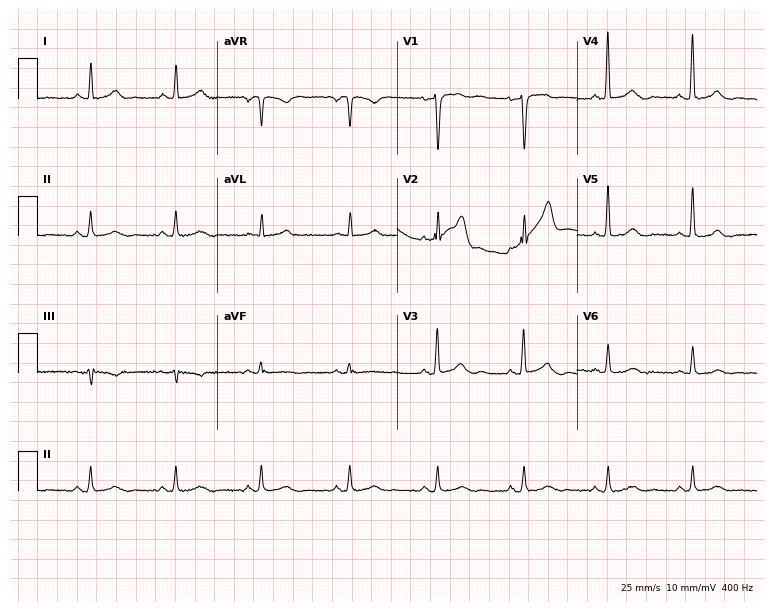
12-lead ECG from a 63-year-old male. Recorded interpretation: within normal limits.